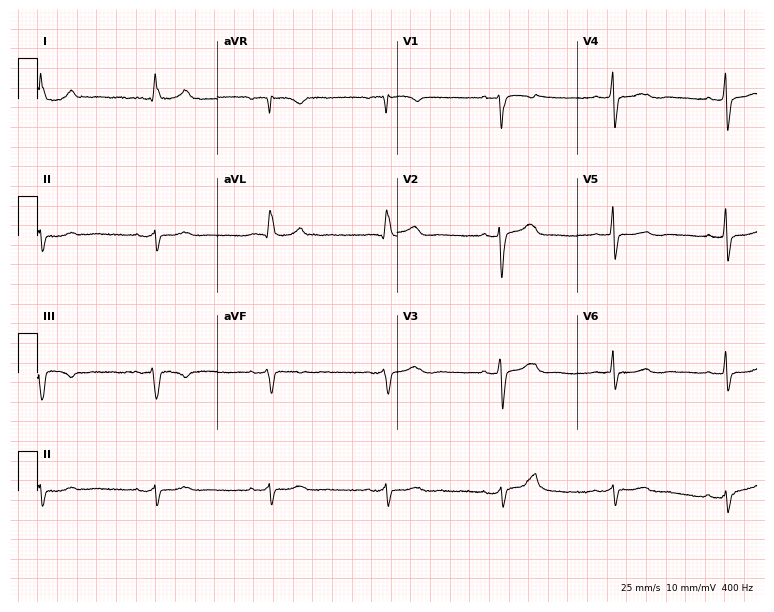
Electrocardiogram (7.3-second recording at 400 Hz), a woman, 76 years old. Of the six screened findings (first-degree AV block, right bundle branch block, left bundle branch block, sinus bradycardia, atrial fibrillation, sinus tachycardia), none is recorded. Findings outside these six are not listed.